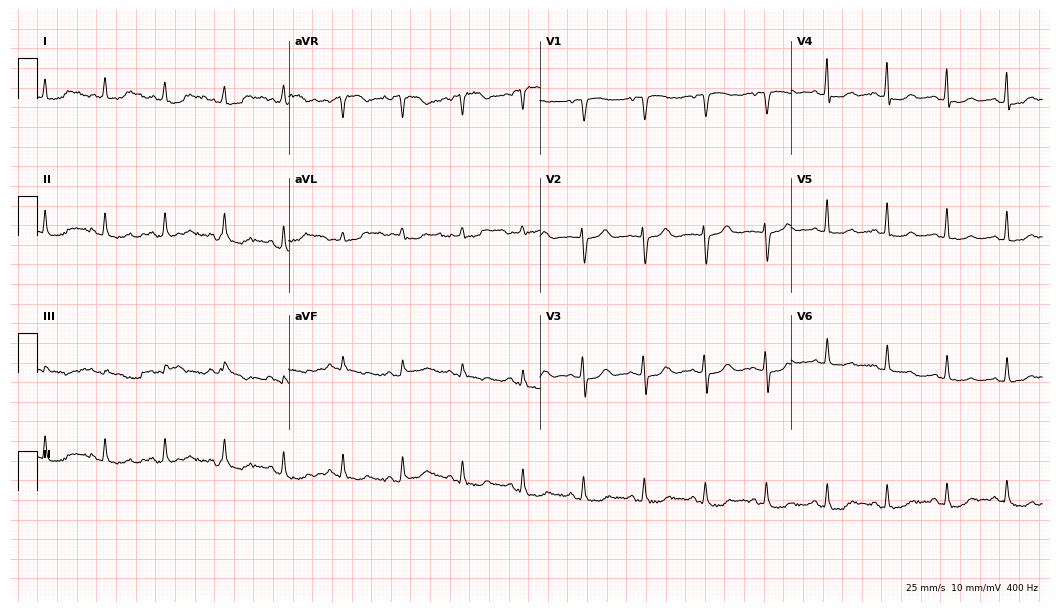
12-lead ECG from a 68-year-old woman. Screened for six findings — first-degree AV block, right bundle branch block, left bundle branch block, sinus bradycardia, atrial fibrillation, sinus tachycardia — none is recorded.